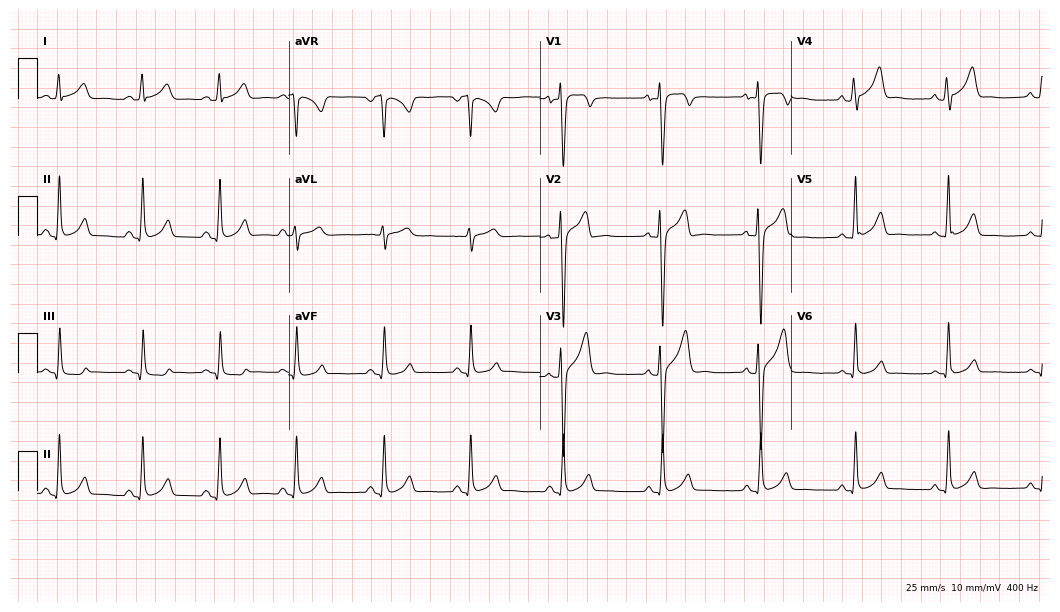
Standard 12-lead ECG recorded from a man, 26 years old (10.2-second recording at 400 Hz). Read as a normal ECG.